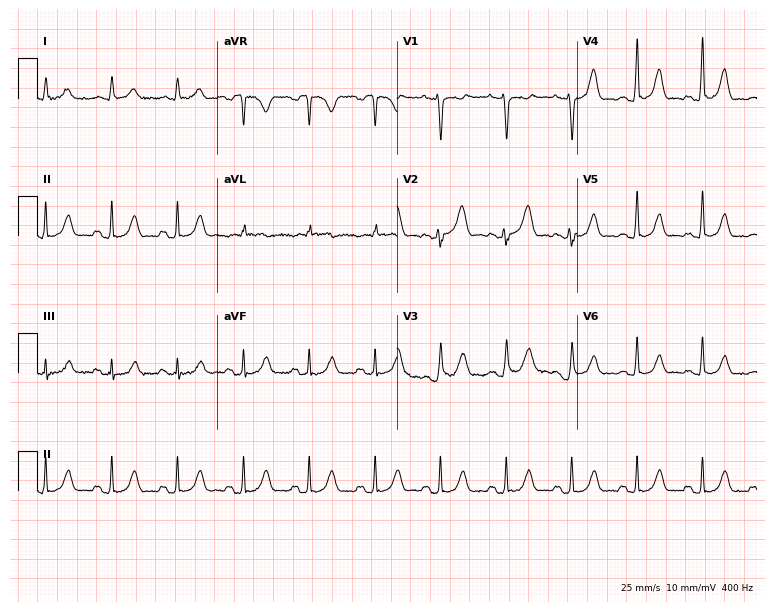
12-lead ECG from a female patient, 36 years old (7.3-second recording at 400 Hz). No first-degree AV block, right bundle branch block, left bundle branch block, sinus bradycardia, atrial fibrillation or sinus tachycardia recorded for this tracing.